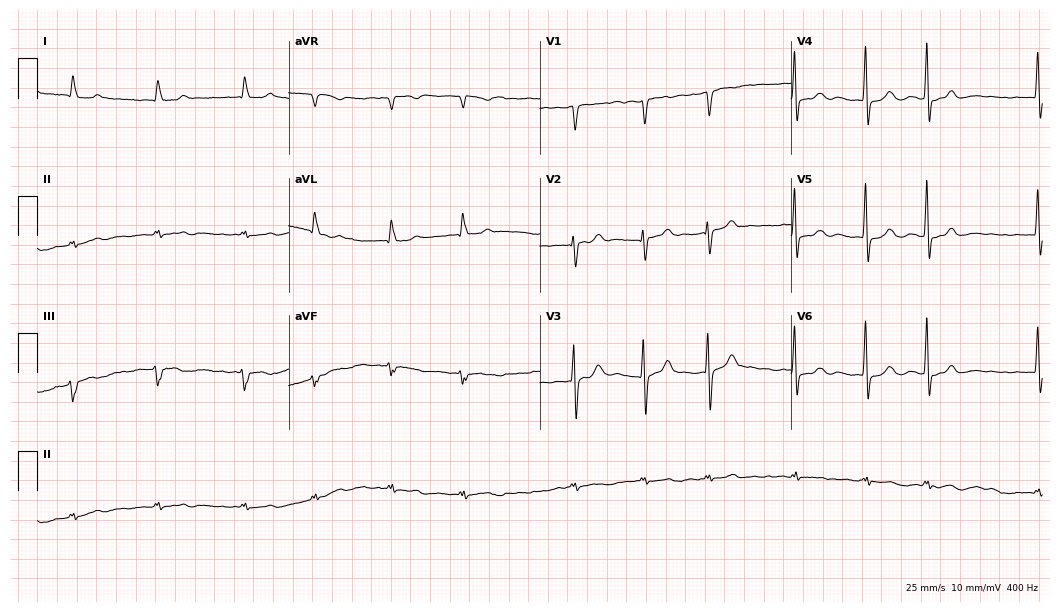
Electrocardiogram, a male, 79 years old. Overall reading on record: normal ECG.